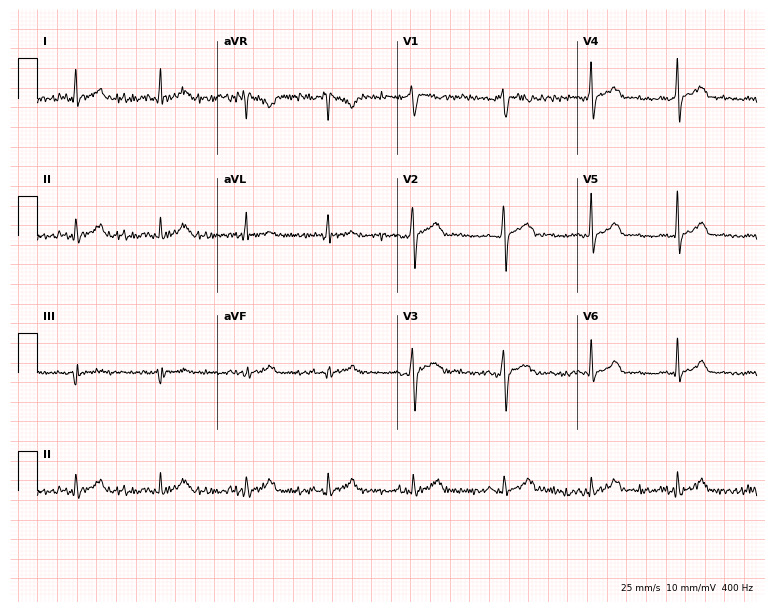
12-lead ECG from a 35-year-old male (7.3-second recording at 400 Hz). Recorded interpretation: within normal limits.